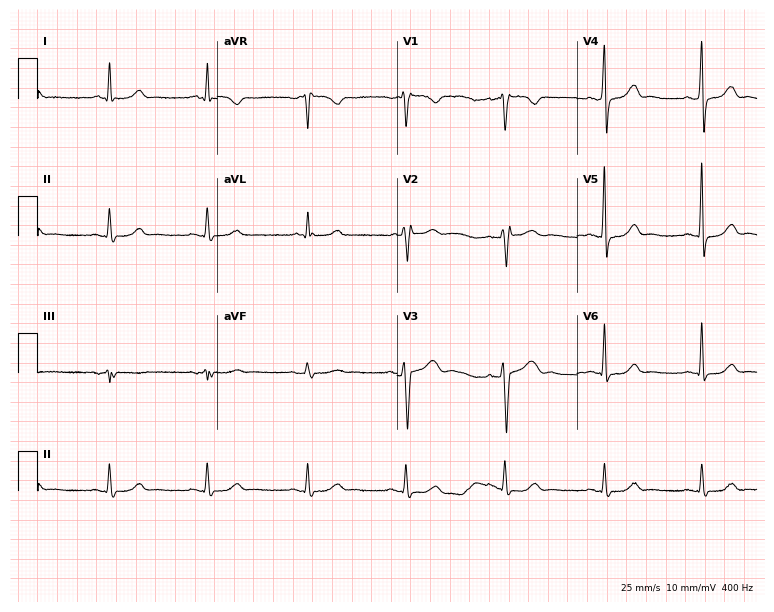
Electrocardiogram, a woman, 66 years old. Overall reading on record: normal ECG.